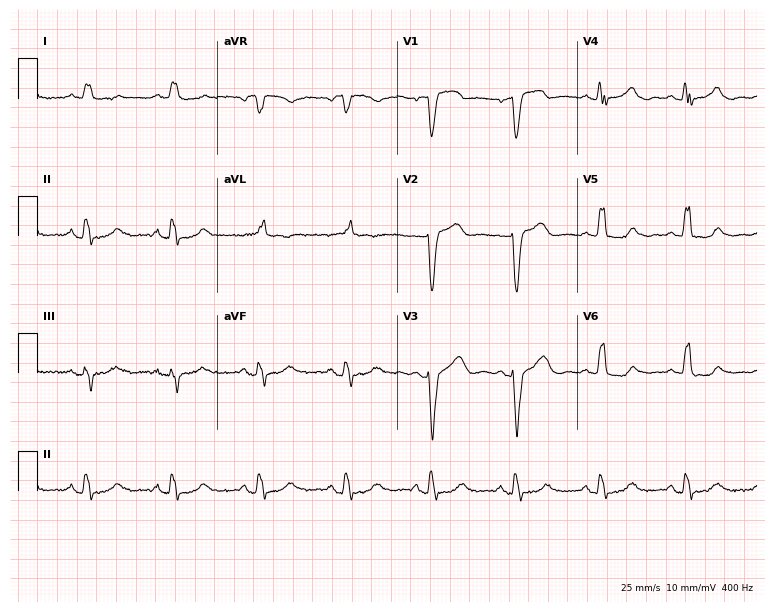
Electrocardiogram, a female patient, 71 years old. Of the six screened findings (first-degree AV block, right bundle branch block (RBBB), left bundle branch block (LBBB), sinus bradycardia, atrial fibrillation (AF), sinus tachycardia), none is recorded.